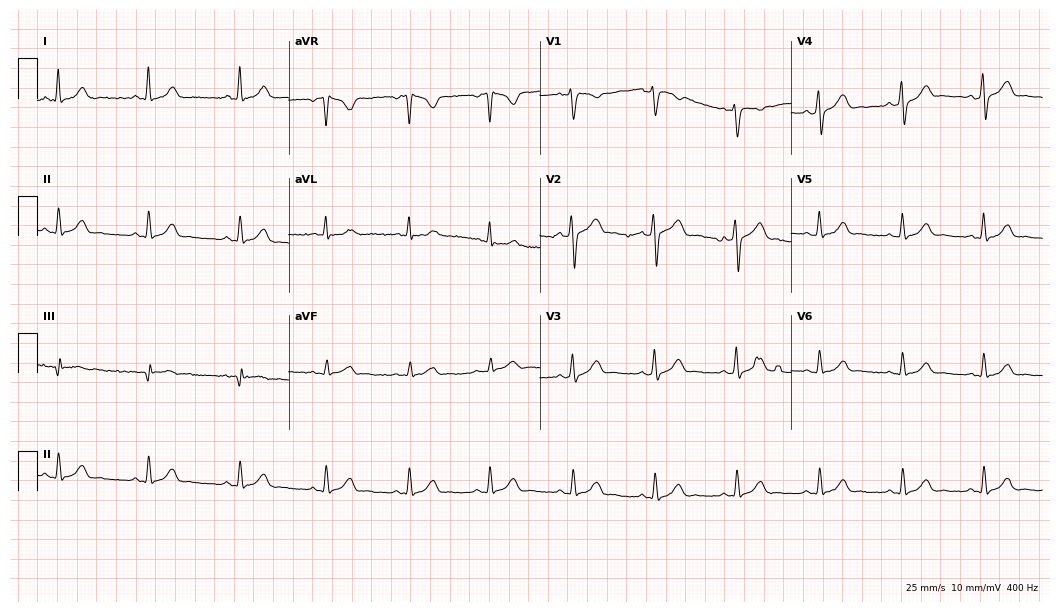
Standard 12-lead ECG recorded from a male, 27 years old (10.2-second recording at 400 Hz). Read as a normal ECG.